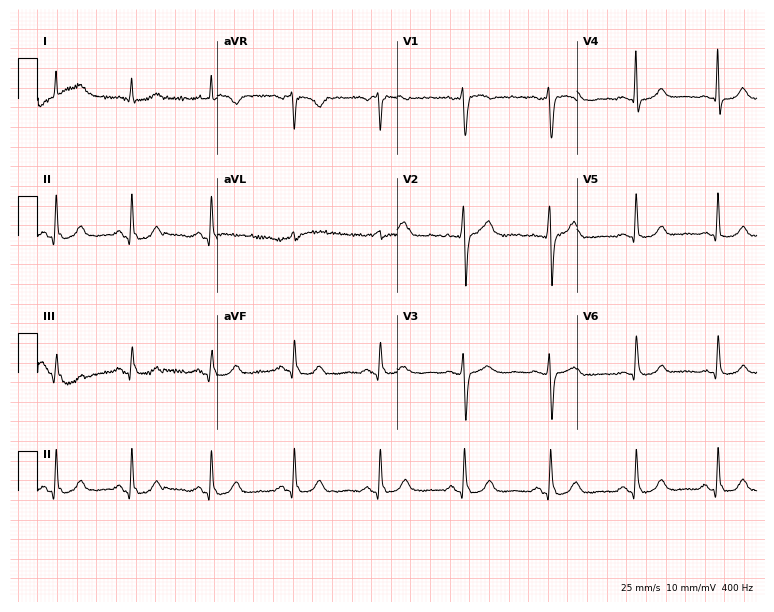
12-lead ECG from a woman, 50 years old. Recorded interpretation: within normal limits.